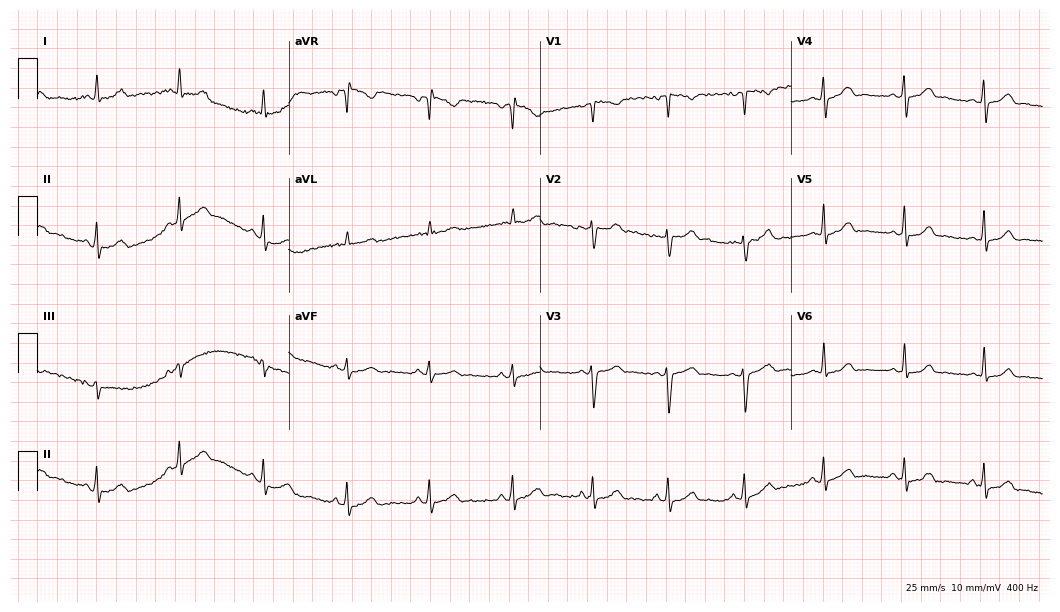
Electrocardiogram, a 26-year-old female. Overall reading on record: normal ECG.